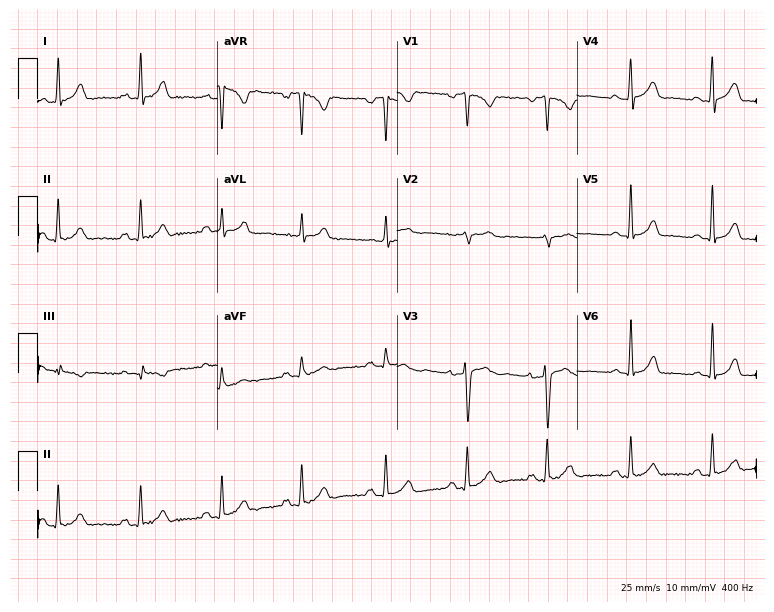
Standard 12-lead ECG recorded from a 20-year-old female (7.3-second recording at 400 Hz). None of these six findings is recorded: first-degree AV block, right bundle branch block (RBBB), left bundle branch block (LBBB), sinus bradycardia, atrial fibrillation (AF), sinus tachycardia.